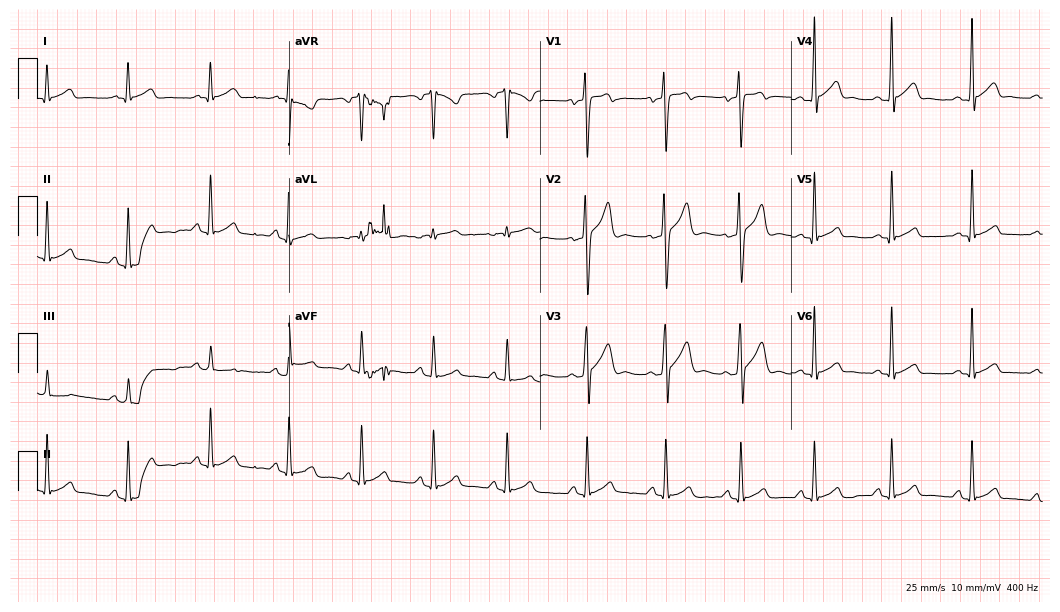
Resting 12-lead electrocardiogram (10.2-second recording at 400 Hz). Patient: a 20-year-old male. Read as a normal ECG.